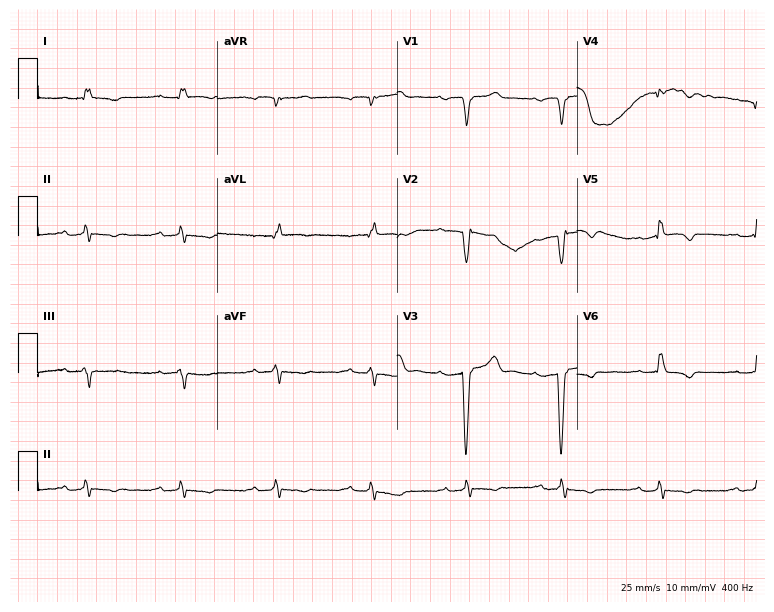
12-lead ECG from a man, 64 years old. Shows first-degree AV block.